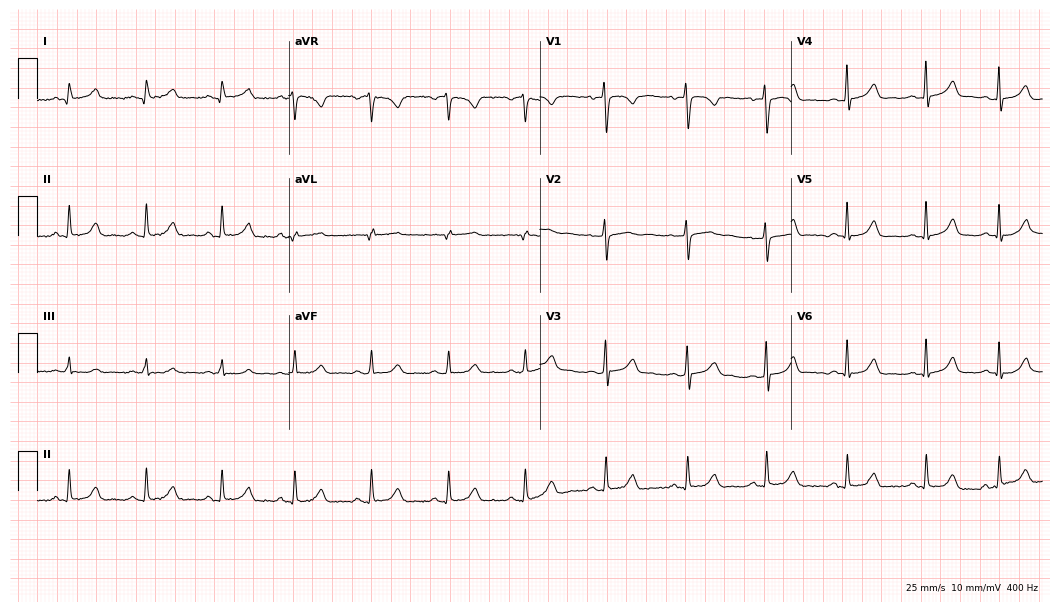
Standard 12-lead ECG recorded from a female, 25 years old. Read as a normal ECG.